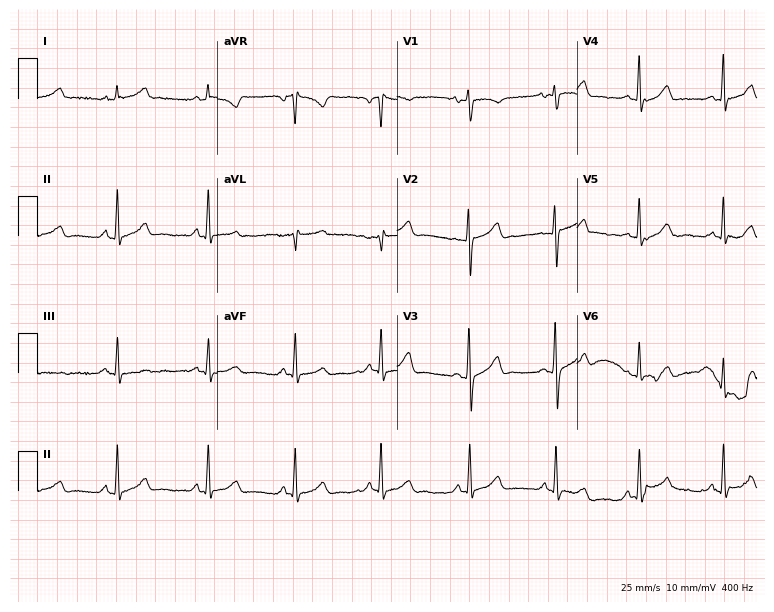
Electrocardiogram, a 28-year-old woman. Overall reading on record: normal ECG.